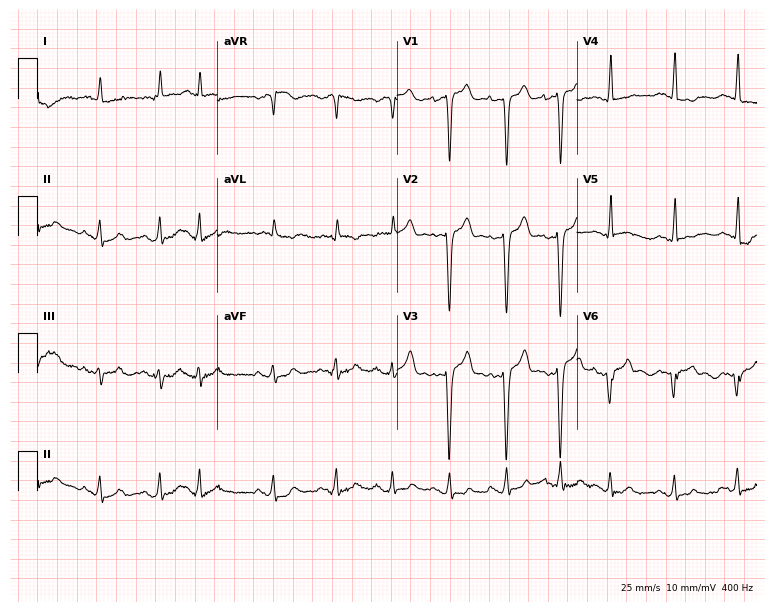
ECG (7.3-second recording at 400 Hz) — a female patient, 82 years old. Screened for six findings — first-degree AV block, right bundle branch block, left bundle branch block, sinus bradycardia, atrial fibrillation, sinus tachycardia — none is recorded. Other findings, if any, are not listed.